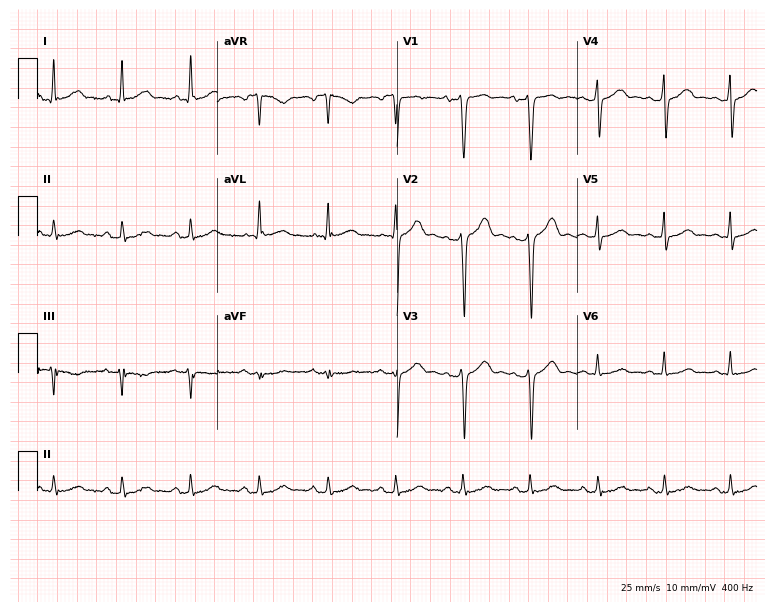
Standard 12-lead ECG recorded from a 52-year-old female patient (7.3-second recording at 400 Hz). Read as a normal ECG.